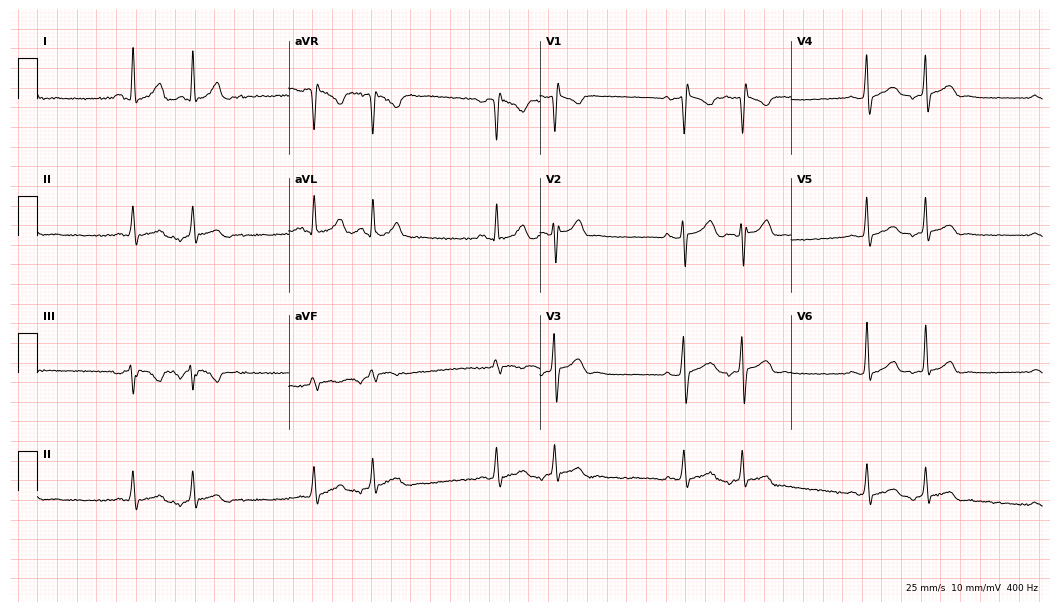
Standard 12-lead ECG recorded from a 39-year-old man (10.2-second recording at 400 Hz). None of these six findings is recorded: first-degree AV block, right bundle branch block (RBBB), left bundle branch block (LBBB), sinus bradycardia, atrial fibrillation (AF), sinus tachycardia.